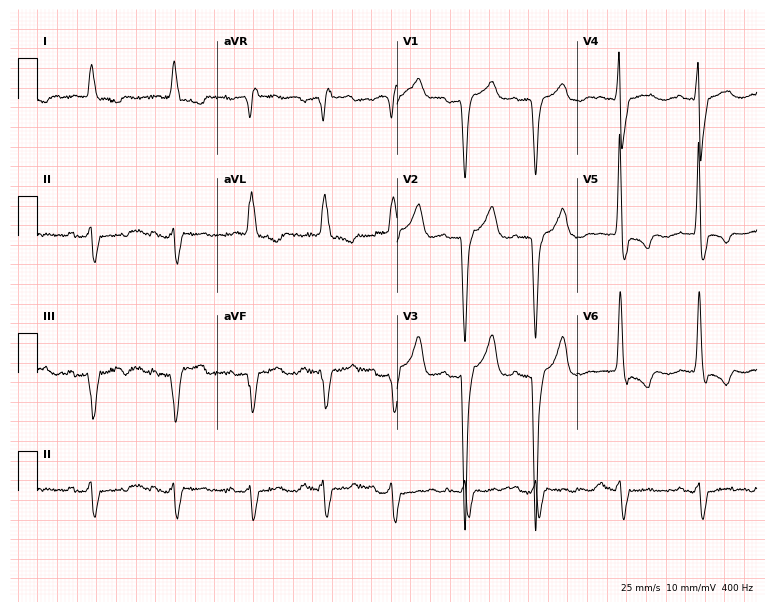
ECG — a man, 80 years old. Findings include left bundle branch block.